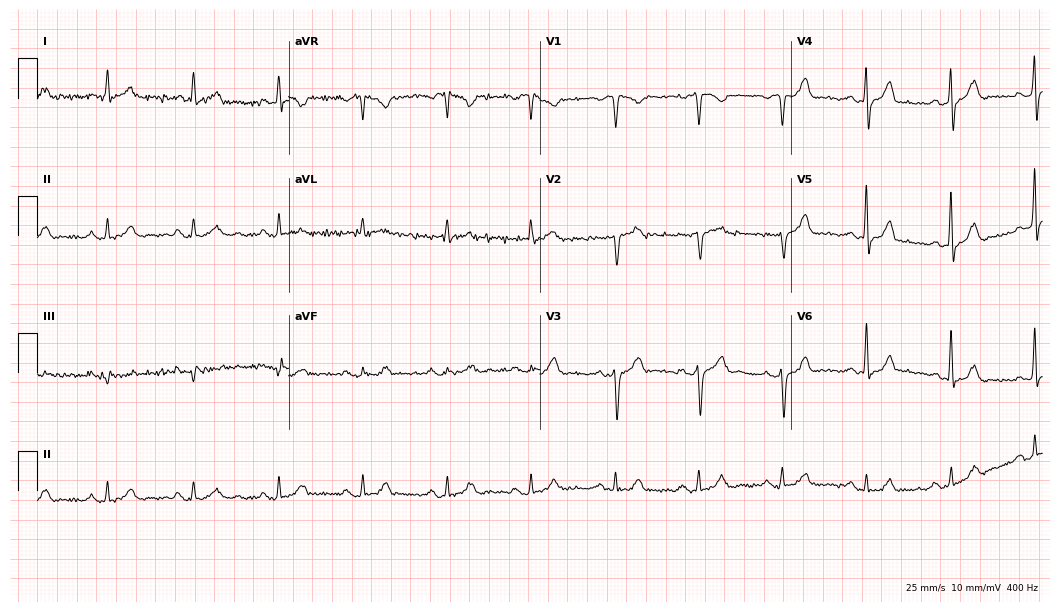
12-lead ECG from a 78-year-old male patient. No first-degree AV block, right bundle branch block (RBBB), left bundle branch block (LBBB), sinus bradycardia, atrial fibrillation (AF) or sinus tachycardia recorded for this tracing. Other findings, if any, are not listed.